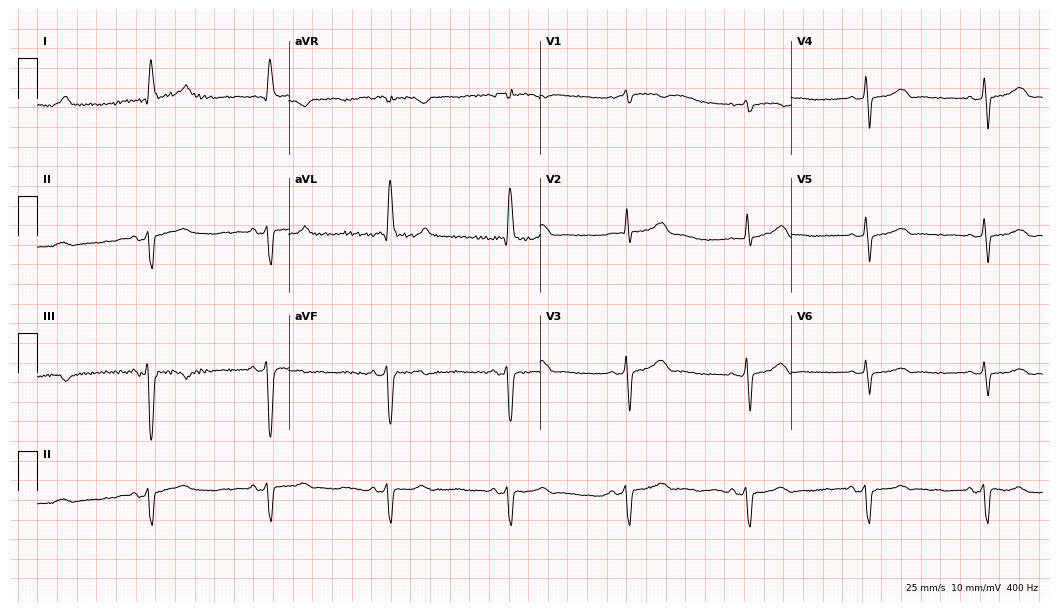
ECG (10.2-second recording at 400 Hz) — a female, 82 years old. Screened for six findings — first-degree AV block, right bundle branch block (RBBB), left bundle branch block (LBBB), sinus bradycardia, atrial fibrillation (AF), sinus tachycardia — none is recorded. Other findings, if any, are not listed.